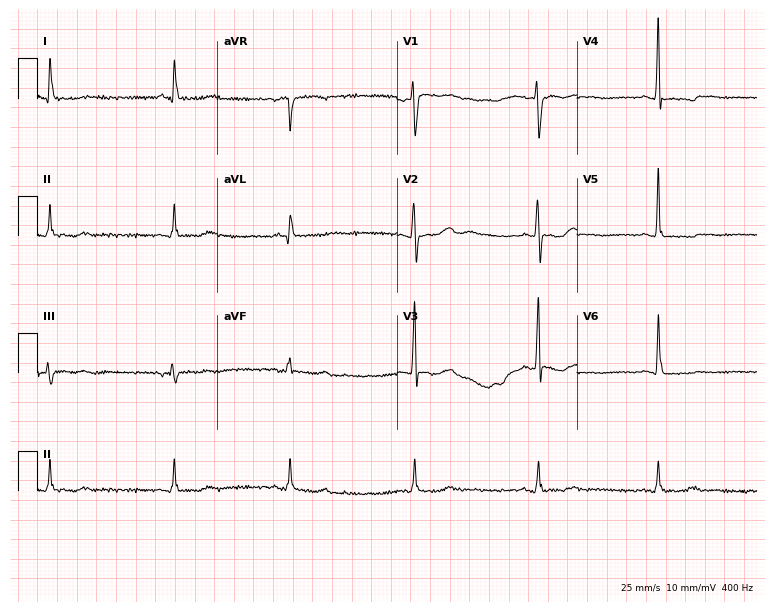
Standard 12-lead ECG recorded from a 55-year-old woman. None of these six findings is recorded: first-degree AV block, right bundle branch block, left bundle branch block, sinus bradycardia, atrial fibrillation, sinus tachycardia. Only these six findings were labelled.